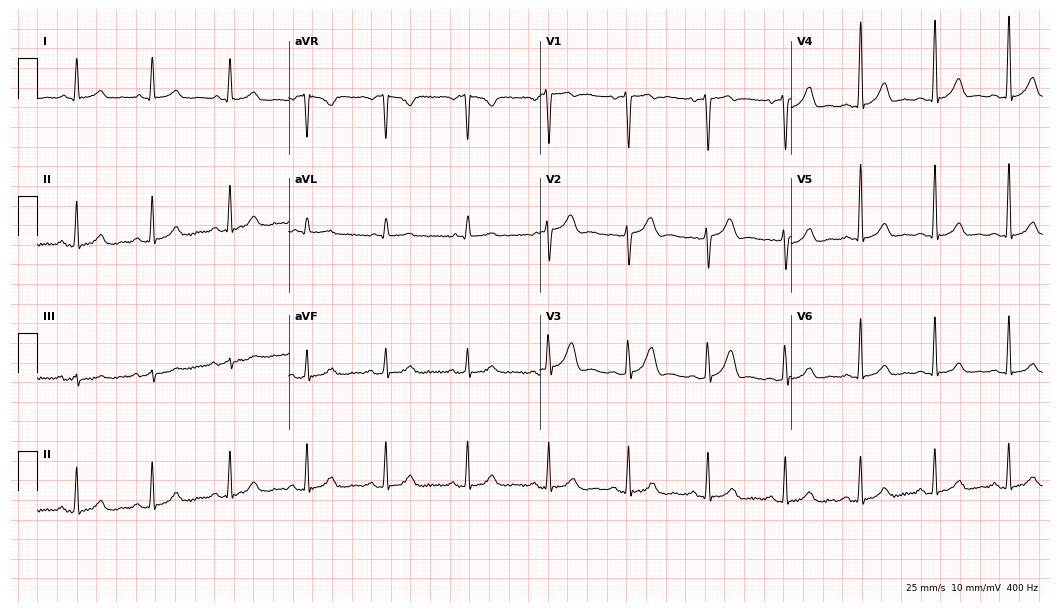
Resting 12-lead electrocardiogram. Patient: a male, 52 years old. Read as a normal ECG.